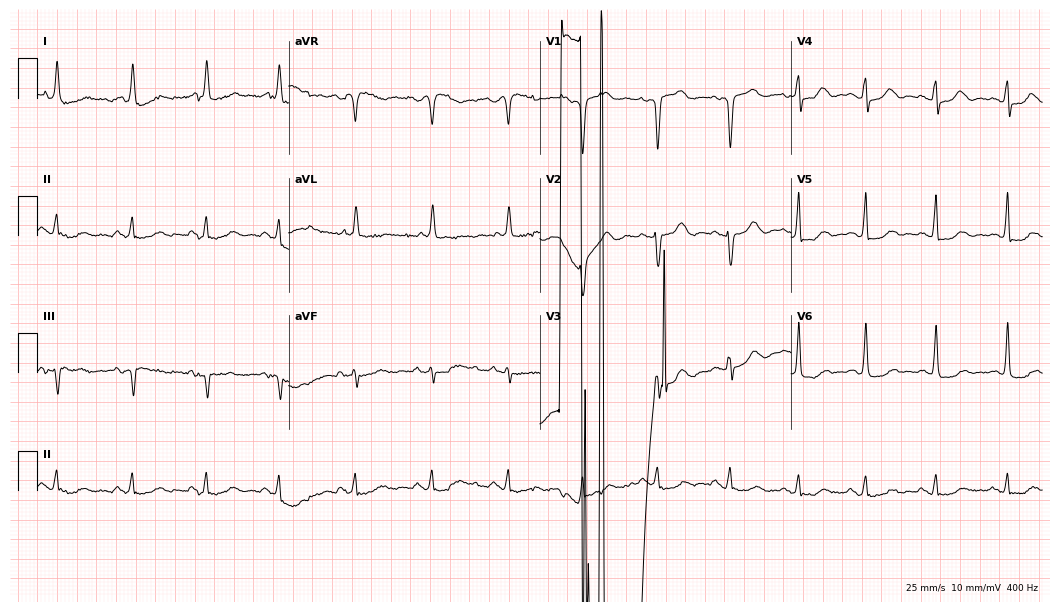
Standard 12-lead ECG recorded from a female patient, 70 years old (10.2-second recording at 400 Hz). None of these six findings is recorded: first-degree AV block, right bundle branch block (RBBB), left bundle branch block (LBBB), sinus bradycardia, atrial fibrillation (AF), sinus tachycardia.